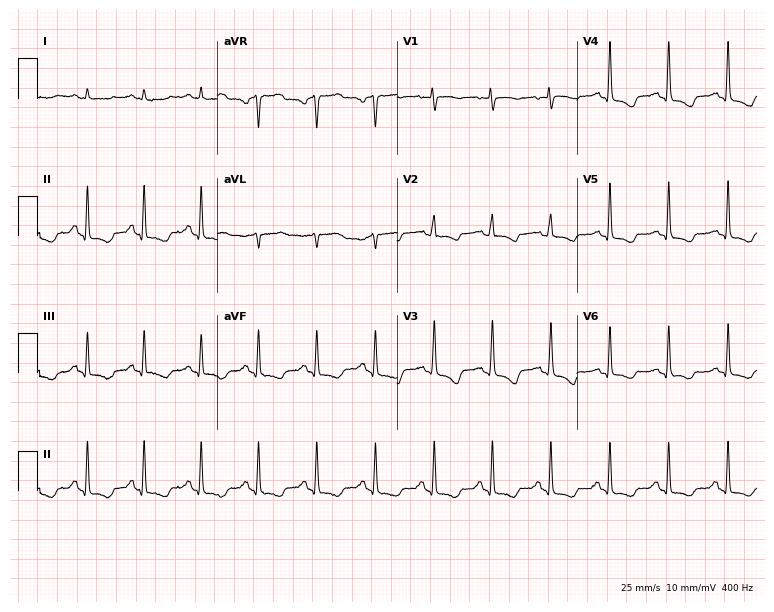
Standard 12-lead ECG recorded from a female patient, 69 years old. None of these six findings is recorded: first-degree AV block, right bundle branch block (RBBB), left bundle branch block (LBBB), sinus bradycardia, atrial fibrillation (AF), sinus tachycardia. Findings outside these six are not listed.